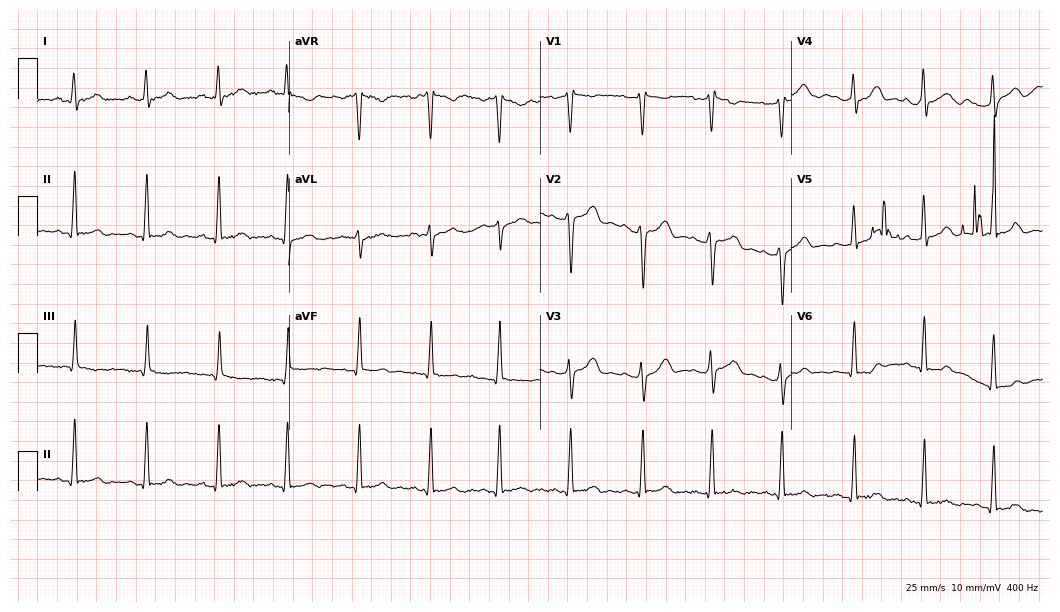
12-lead ECG from a 34-year-old female. Screened for six findings — first-degree AV block, right bundle branch block (RBBB), left bundle branch block (LBBB), sinus bradycardia, atrial fibrillation (AF), sinus tachycardia — none is recorded.